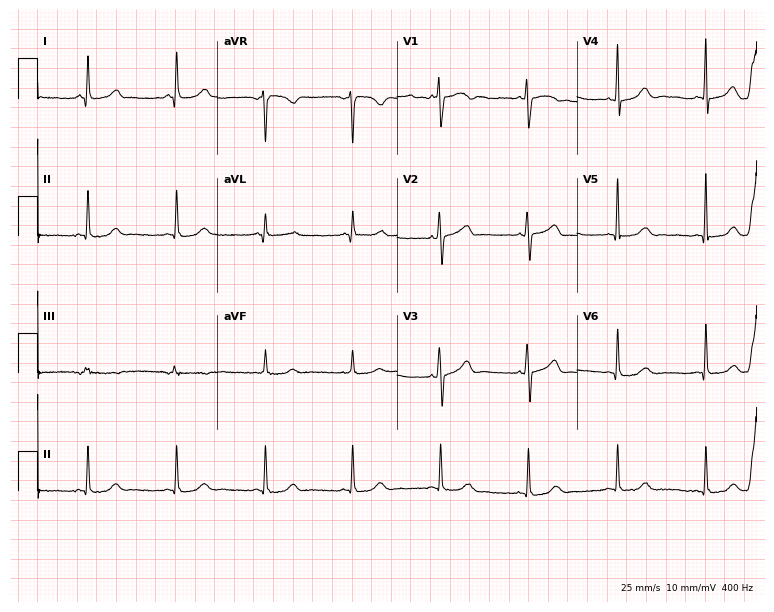
Standard 12-lead ECG recorded from a 51-year-old female (7.3-second recording at 400 Hz). None of these six findings is recorded: first-degree AV block, right bundle branch block, left bundle branch block, sinus bradycardia, atrial fibrillation, sinus tachycardia. Other findings, if any, are not listed.